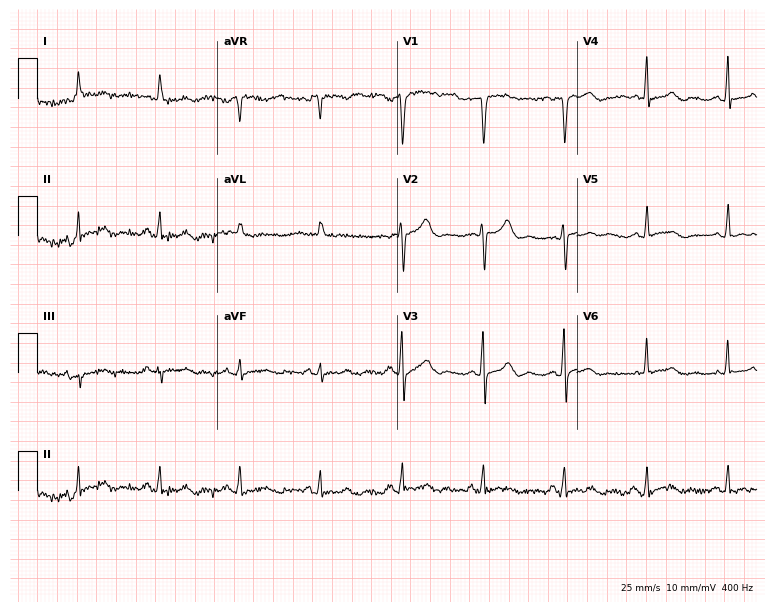
Standard 12-lead ECG recorded from a 62-year-old woman. Read as a normal ECG.